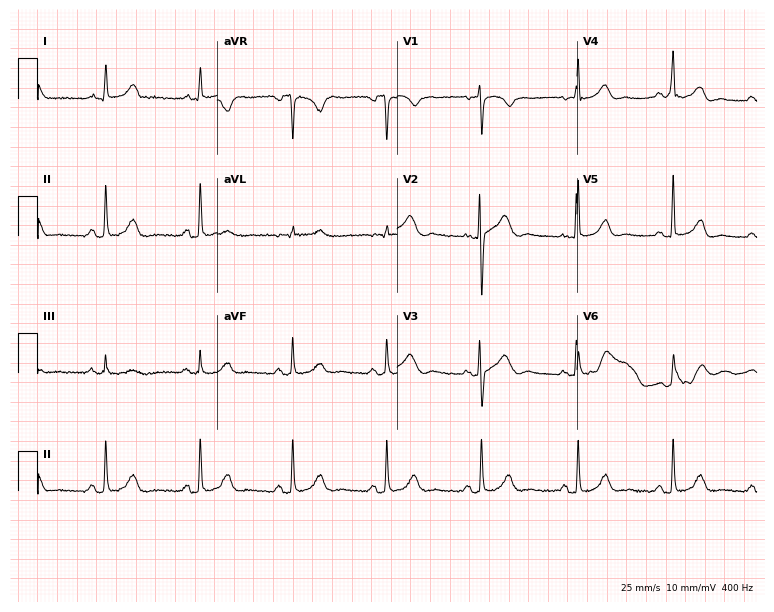
ECG (7.3-second recording at 400 Hz) — a 68-year-old female patient. Labelled as a normal ECG.